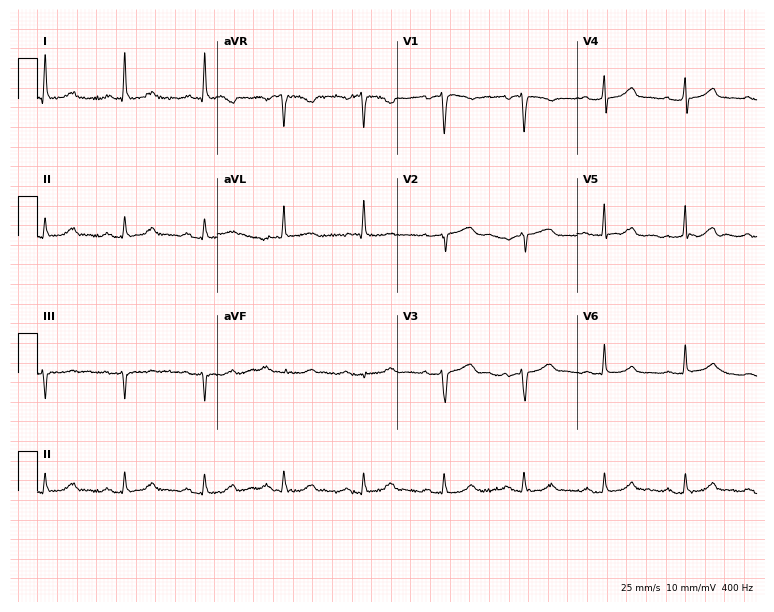
Standard 12-lead ECG recorded from a 59-year-old woman. None of these six findings is recorded: first-degree AV block, right bundle branch block, left bundle branch block, sinus bradycardia, atrial fibrillation, sinus tachycardia.